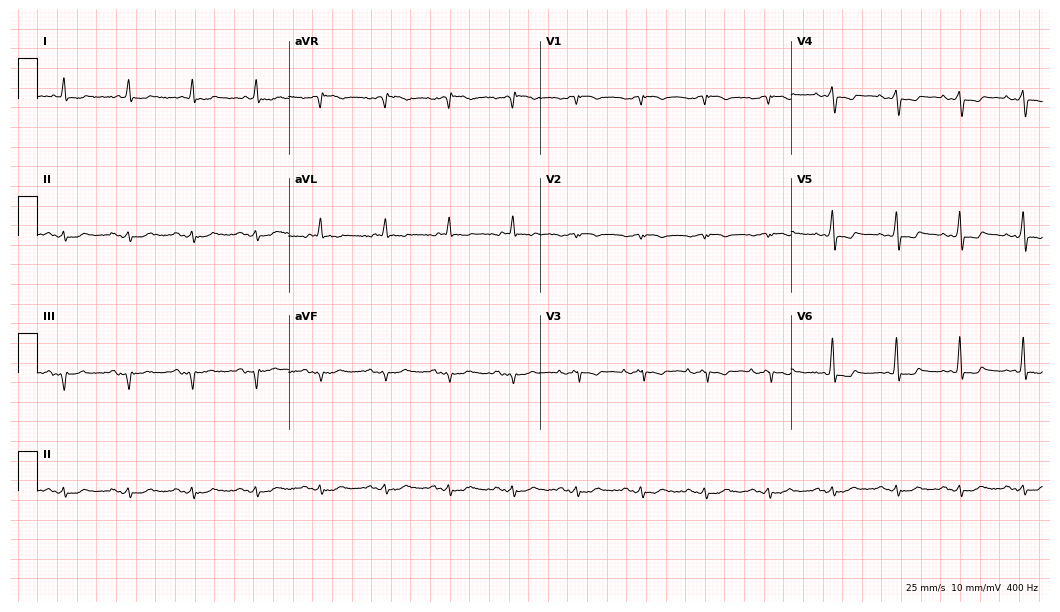
Electrocardiogram, an 84-year-old male. Of the six screened findings (first-degree AV block, right bundle branch block (RBBB), left bundle branch block (LBBB), sinus bradycardia, atrial fibrillation (AF), sinus tachycardia), none is recorded.